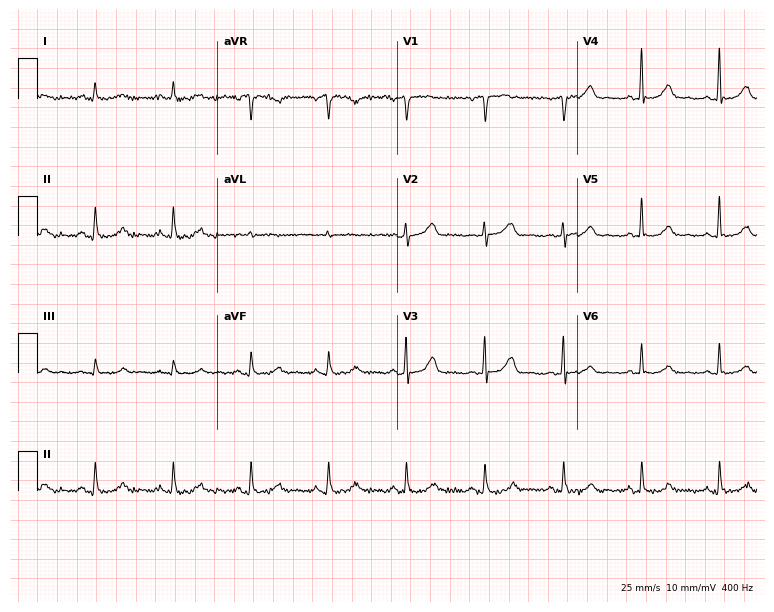
Resting 12-lead electrocardiogram (7.3-second recording at 400 Hz). Patient: a 46-year-old woman. Read as a normal ECG.